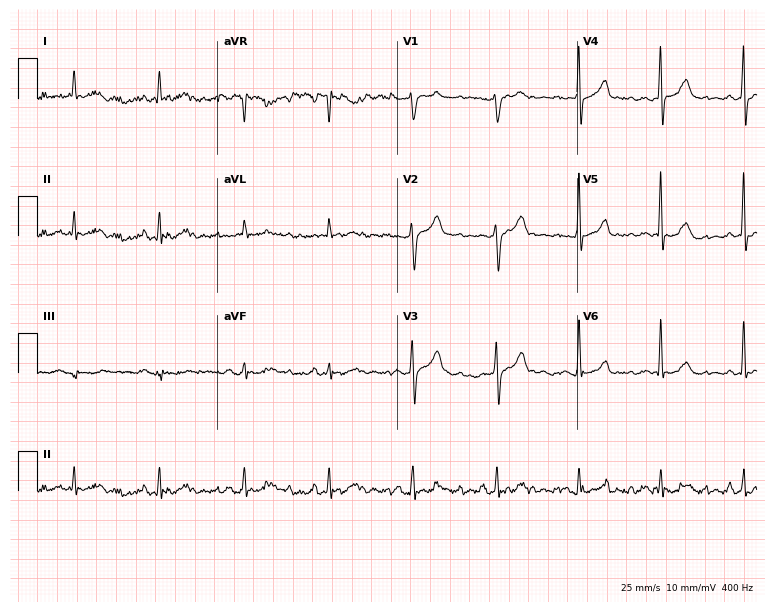
Electrocardiogram, a male patient, 82 years old. Overall reading on record: normal ECG.